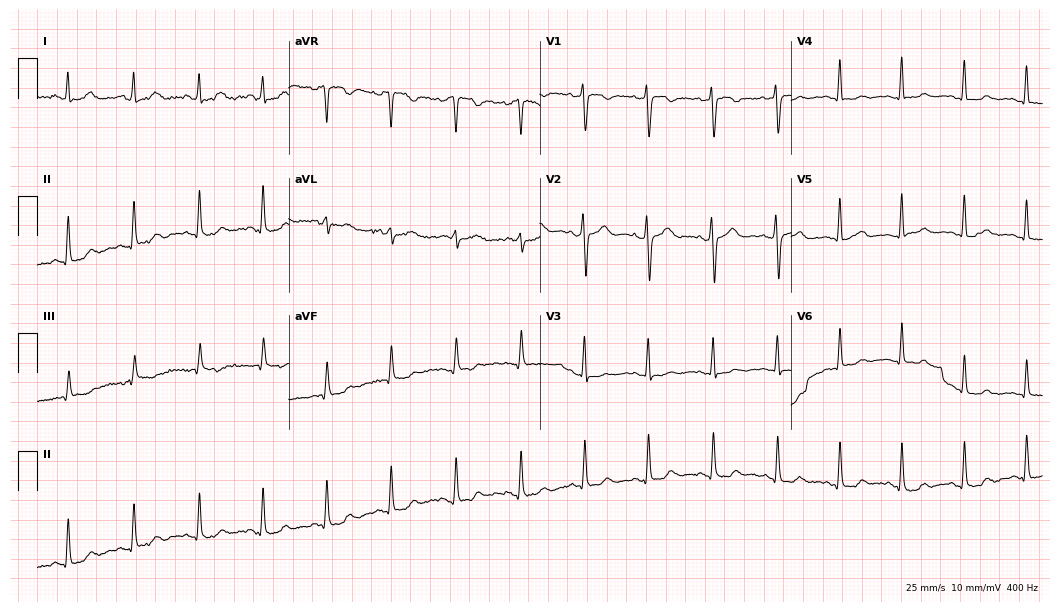
Electrocardiogram, a 45-year-old woman. Of the six screened findings (first-degree AV block, right bundle branch block, left bundle branch block, sinus bradycardia, atrial fibrillation, sinus tachycardia), none is recorded.